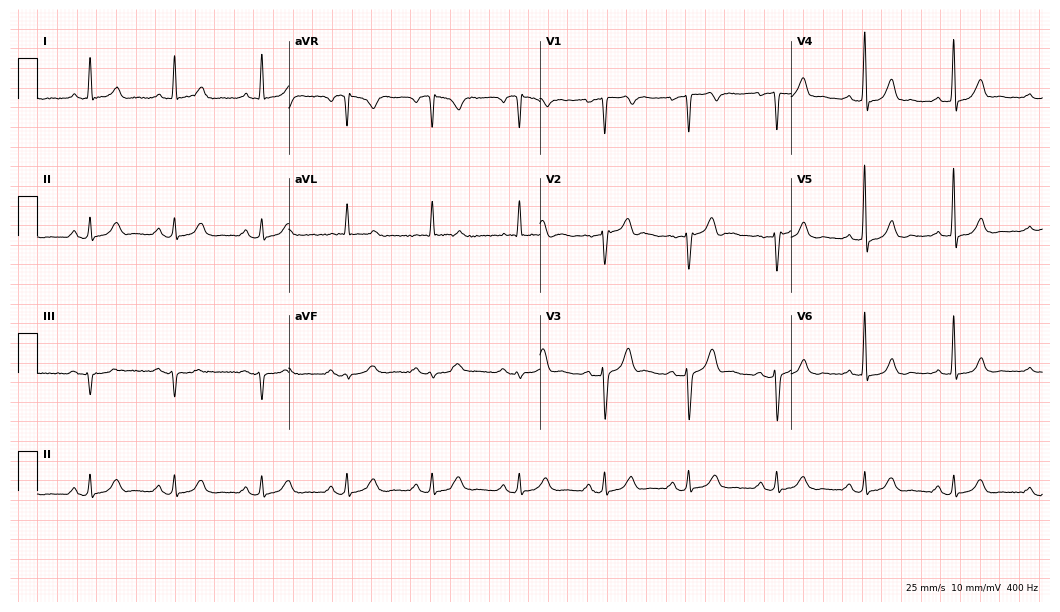
Resting 12-lead electrocardiogram (10.2-second recording at 400 Hz). Patient: a male, 73 years old. Read as a normal ECG.